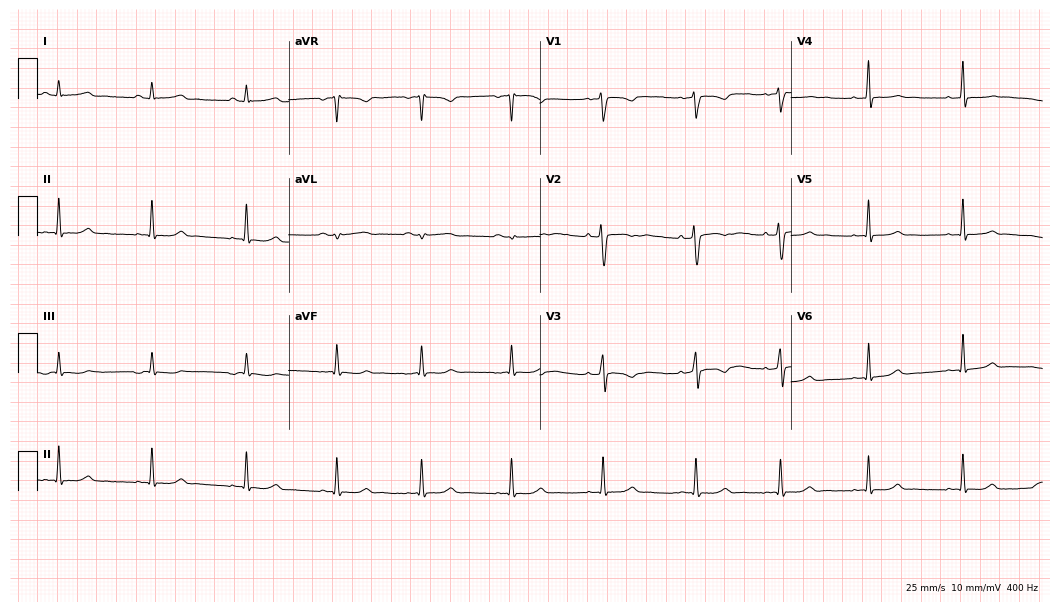
12-lead ECG from a 28-year-old woman (10.2-second recording at 400 Hz). No first-degree AV block, right bundle branch block, left bundle branch block, sinus bradycardia, atrial fibrillation or sinus tachycardia recorded for this tracing. Findings outside these six are not listed.